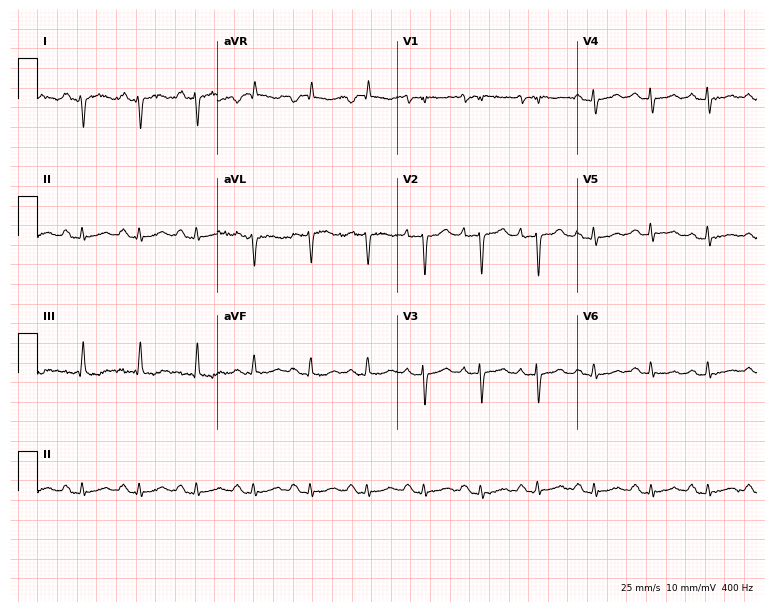
Resting 12-lead electrocardiogram (7.3-second recording at 400 Hz). Patient: a 54-year-old female. The tracing shows sinus tachycardia (a sinus rate of 100 beats per minute or more).